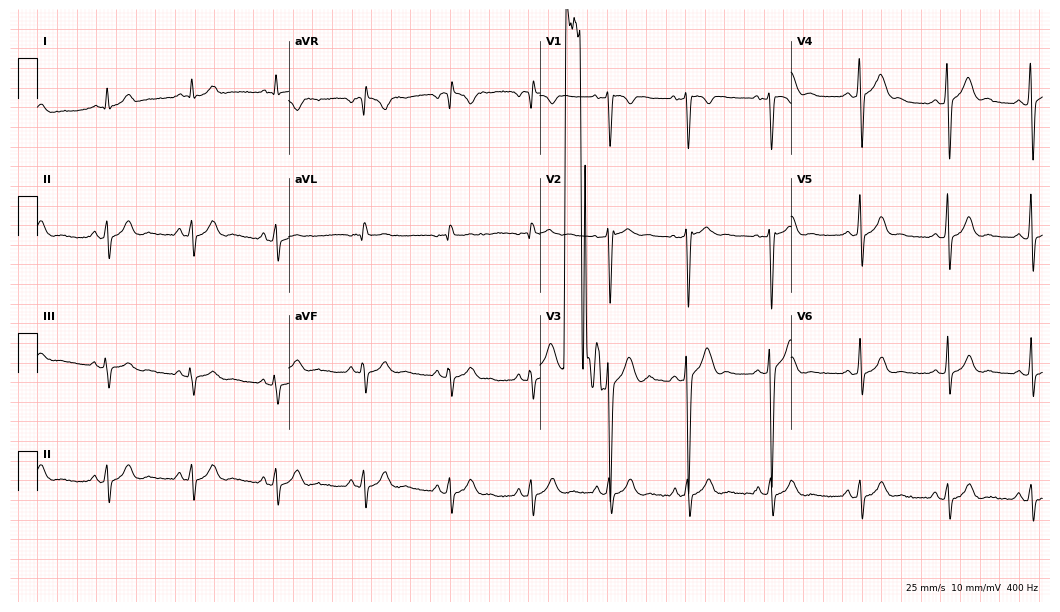
12-lead ECG from an 18-year-old male patient. Screened for six findings — first-degree AV block, right bundle branch block, left bundle branch block, sinus bradycardia, atrial fibrillation, sinus tachycardia — none is recorded.